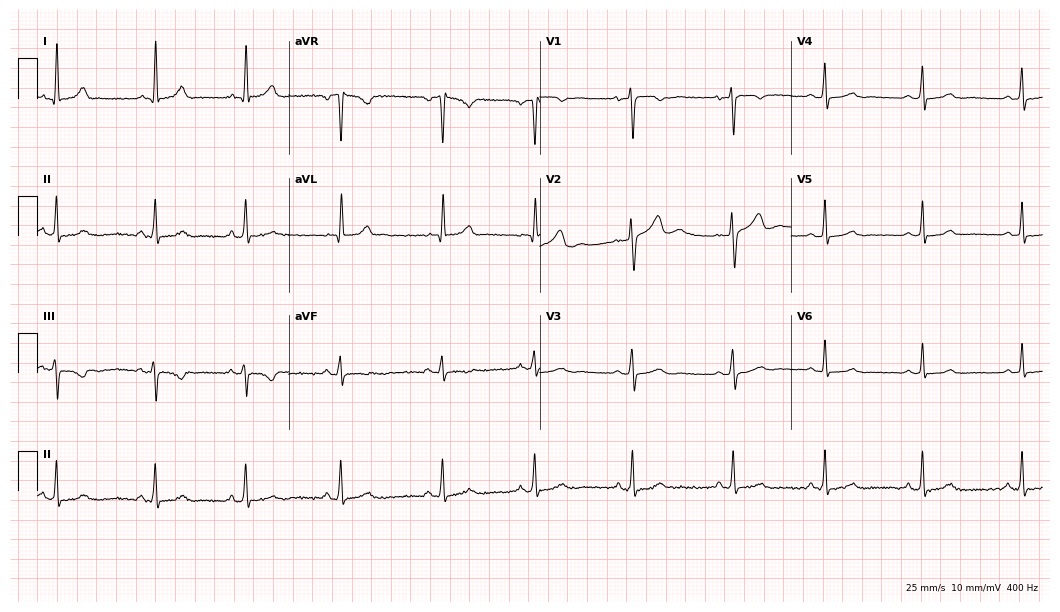
Resting 12-lead electrocardiogram. Patient: a 34-year-old woman. Read as a normal ECG.